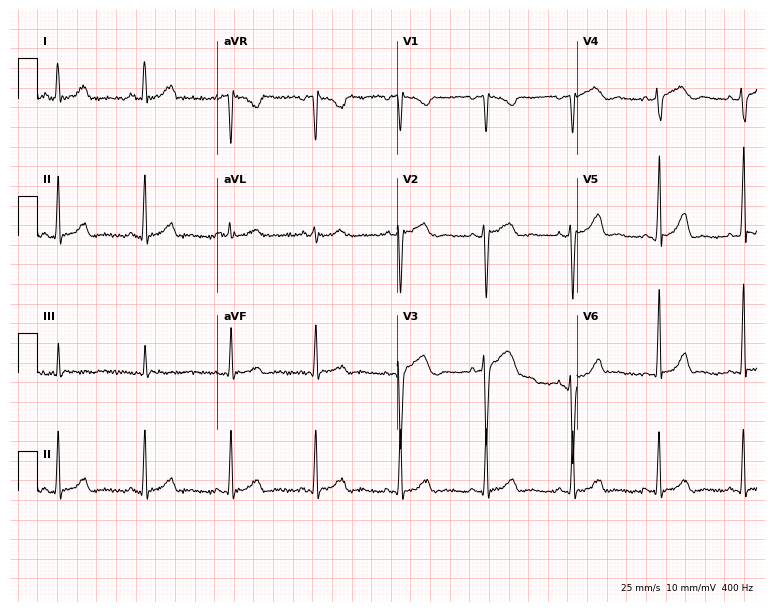
Standard 12-lead ECG recorded from a 52-year-old woman (7.3-second recording at 400 Hz). Read as a normal ECG.